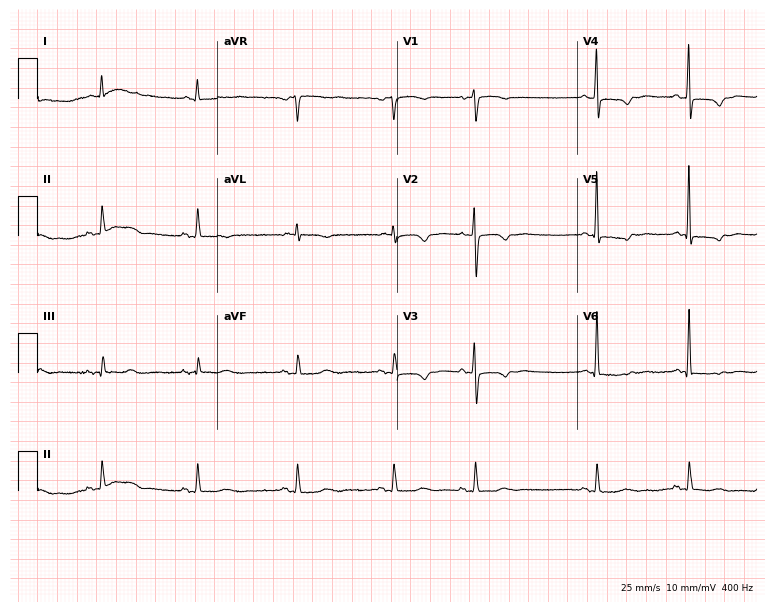
Resting 12-lead electrocardiogram. Patient: a female, 86 years old. None of these six findings is recorded: first-degree AV block, right bundle branch block, left bundle branch block, sinus bradycardia, atrial fibrillation, sinus tachycardia. Findings outside these six are not listed.